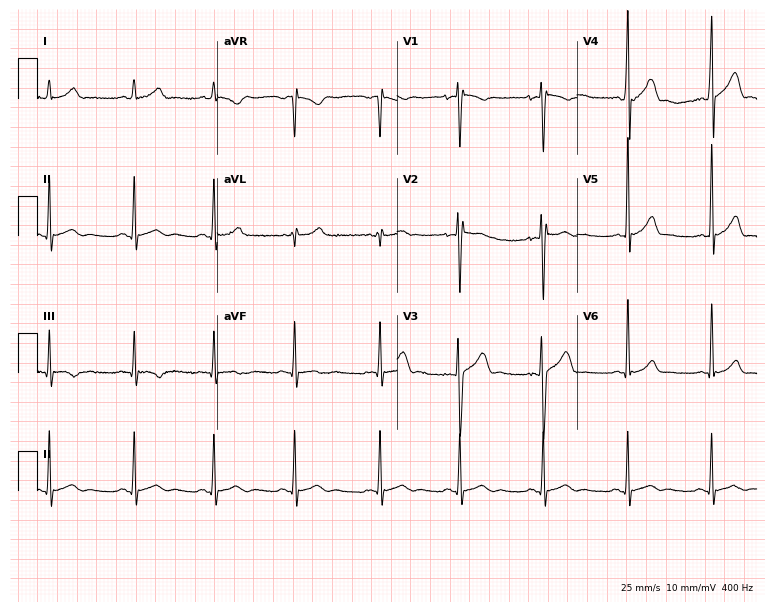
Standard 12-lead ECG recorded from a male, 18 years old. Read as a normal ECG.